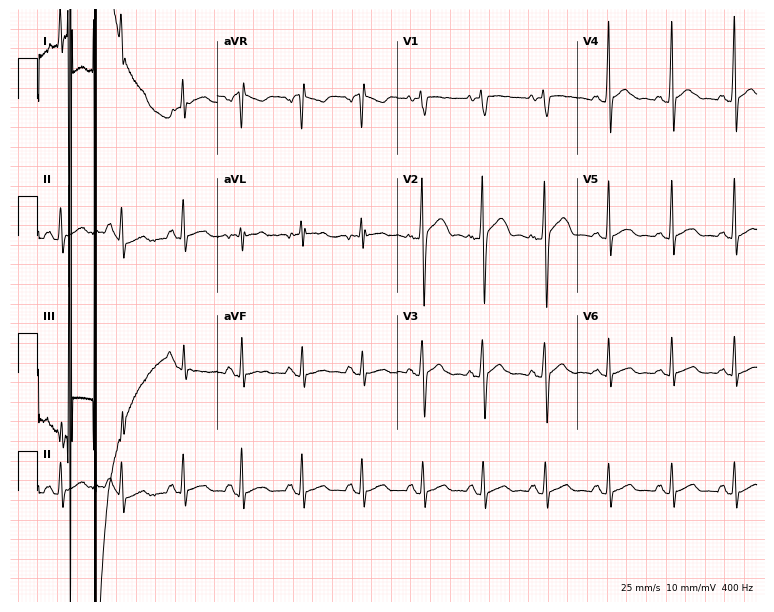
ECG (7.3-second recording at 400 Hz) — a 20-year-old man. Labelled as a normal ECG.